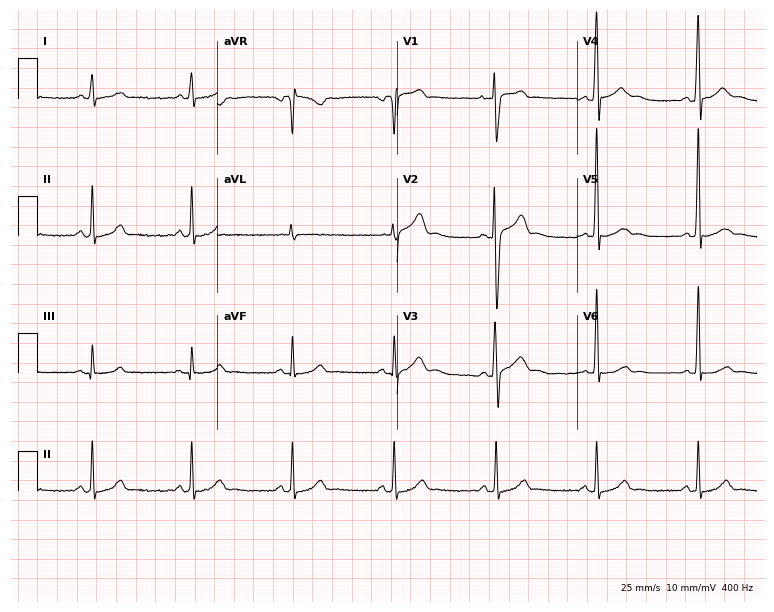
12-lead ECG from a 29-year-old male patient (7.3-second recording at 400 Hz). Recorded interpretation: within normal limits.